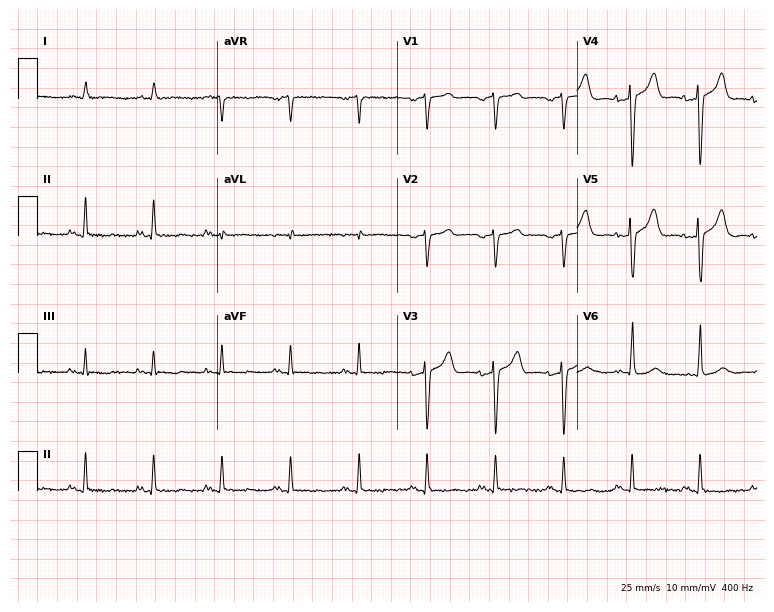
12-lead ECG from an 81-year-old male patient (7.3-second recording at 400 Hz). No first-degree AV block, right bundle branch block (RBBB), left bundle branch block (LBBB), sinus bradycardia, atrial fibrillation (AF) or sinus tachycardia recorded for this tracing. Findings outside these six are not listed.